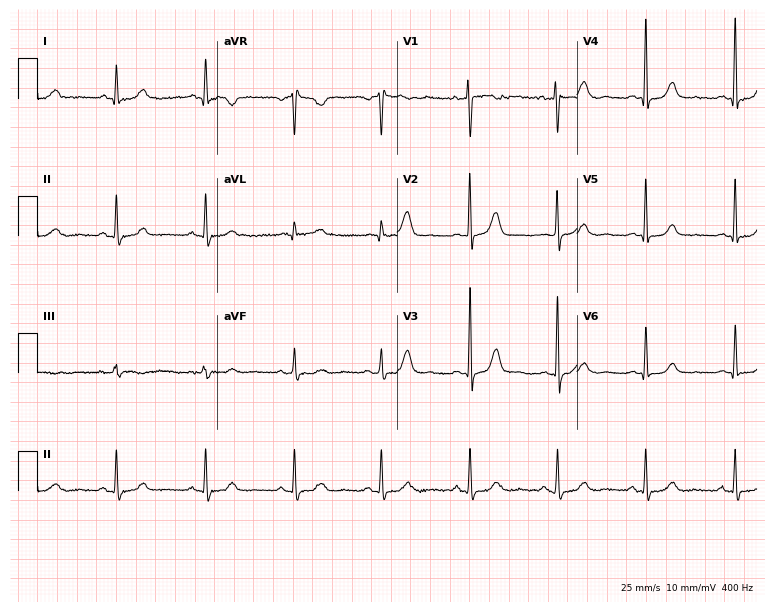
12-lead ECG (7.3-second recording at 400 Hz) from a female patient, 58 years old. Screened for six findings — first-degree AV block, right bundle branch block, left bundle branch block, sinus bradycardia, atrial fibrillation, sinus tachycardia — none is recorded. Other findings, if any, are not listed.